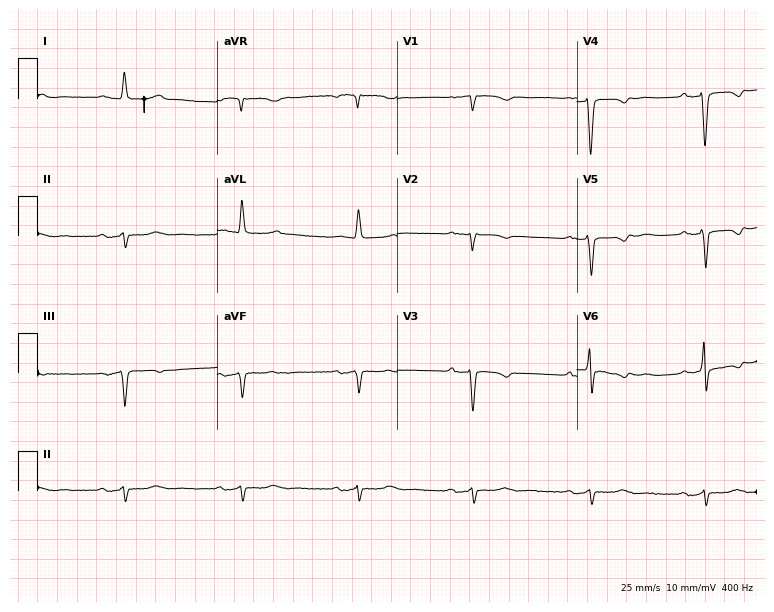
Standard 12-lead ECG recorded from a 42-year-old female (7.3-second recording at 400 Hz). None of these six findings is recorded: first-degree AV block, right bundle branch block (RBBB), left bundle branch block (LBBB), sinus bradycardia, atrial fibrillation (AF), sinus tachycardia.